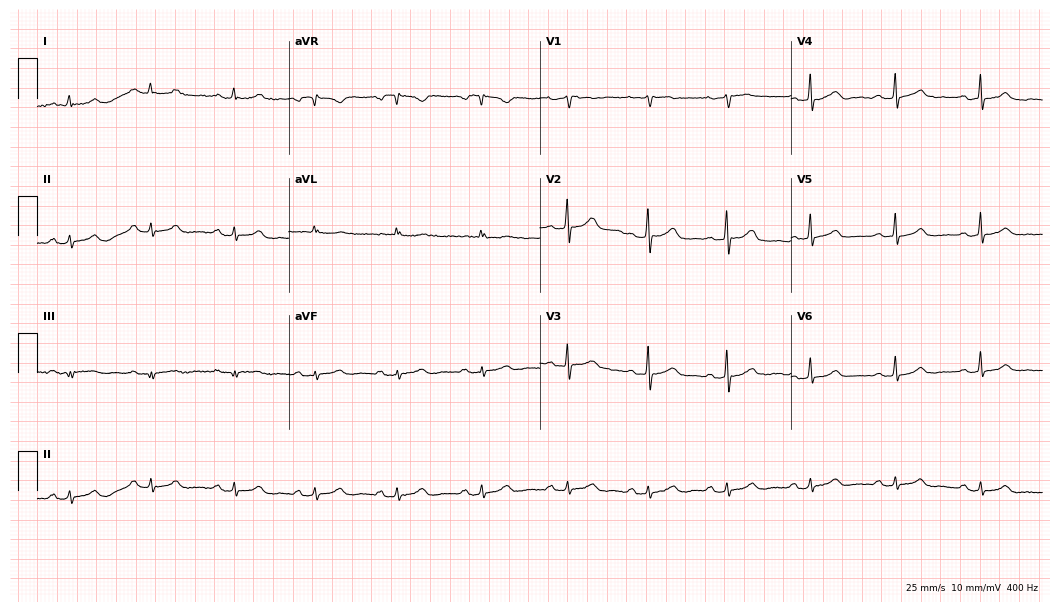
Standard 12-lead ECG recorded from a 28-year-old woman. Read as a normal ECG.